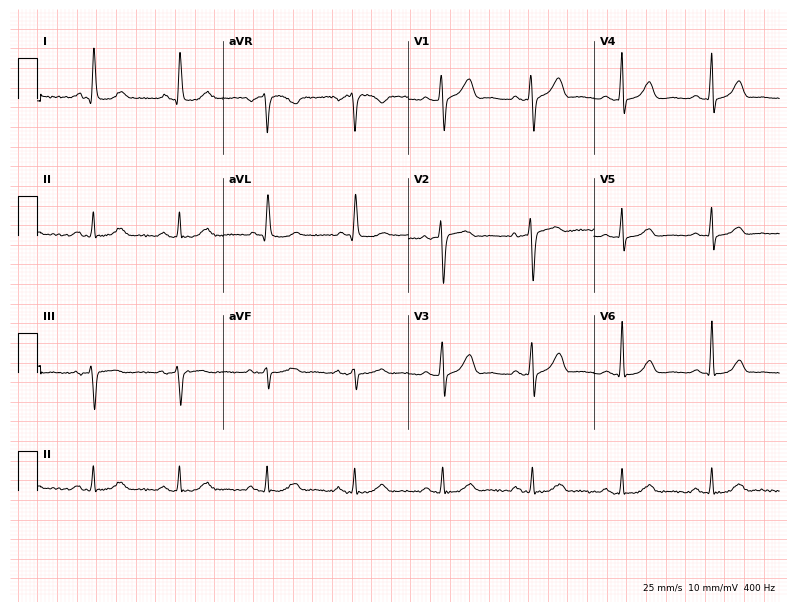
Electrocardiogram, a 57-year-old woman. Of the six screened findings (first-degree AV block, right bundle branch block, left bundle branch block, sinus bradycardia, atrial fibrillation, sinus tachycardia), none is recorded.